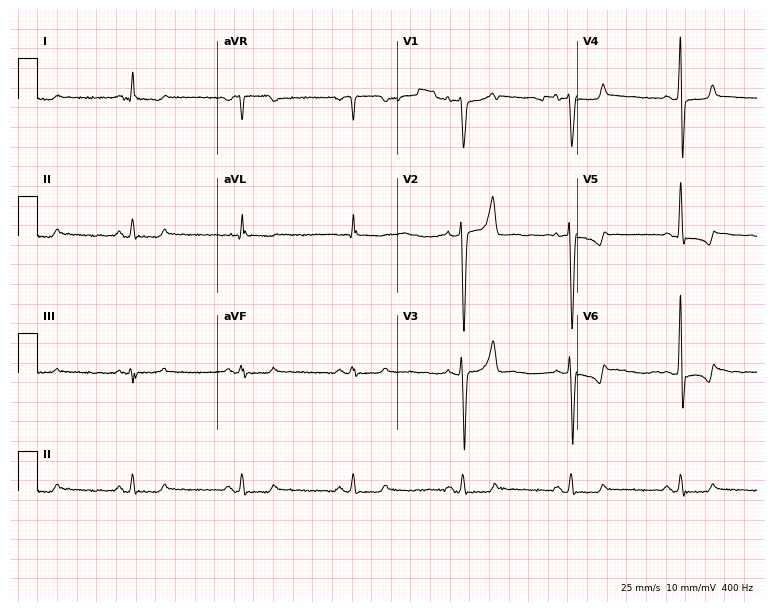
Electrocardiogram (7.3-second recording at 400 Hz), a male, 57 years old. Of the six screened findings (first-degree AV block, right bundle branch block, left bundle branch block, sinus bradycardia, atrial fibrillation, sinus tachycardia), none is recorded.